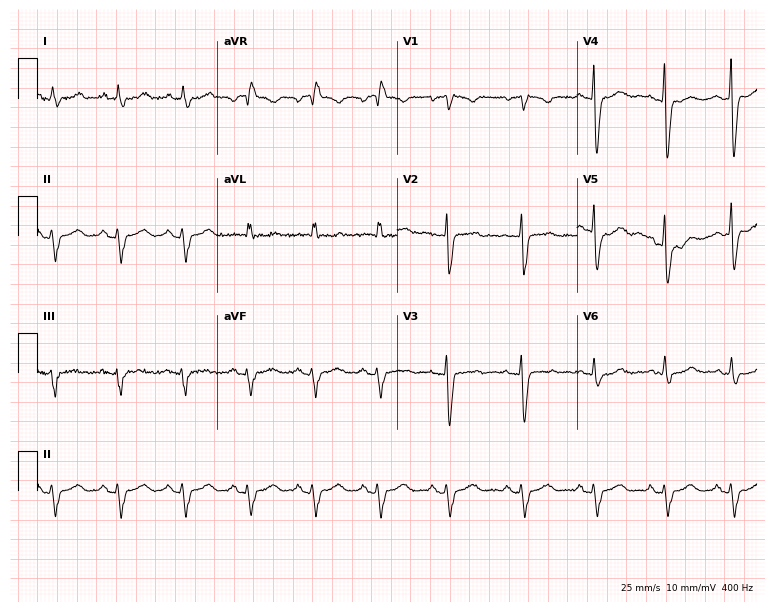
Standard 12-lead ECG recorded from a 62-year-old female (7.3-second recording at 400 Hz). None of these six findings is recorded: first-degree AV block, right bundle branch block, left bundle branch block, sinus bradycardia, atrial fibrillation, sinus tachycardia.